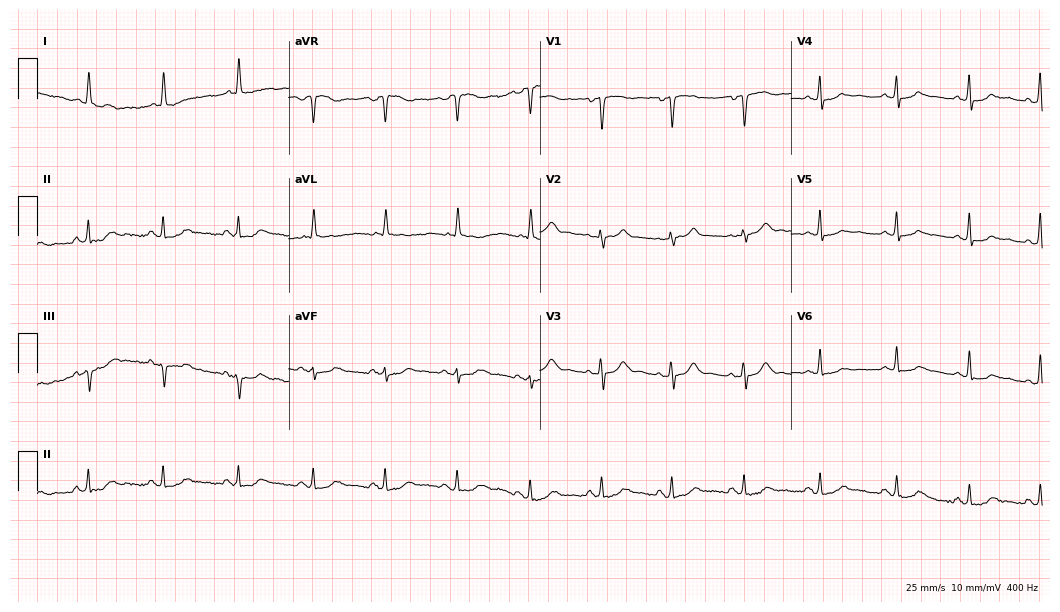
Electrocardiogram, a female, 47 years old. Overall reading on record: normal ECG.